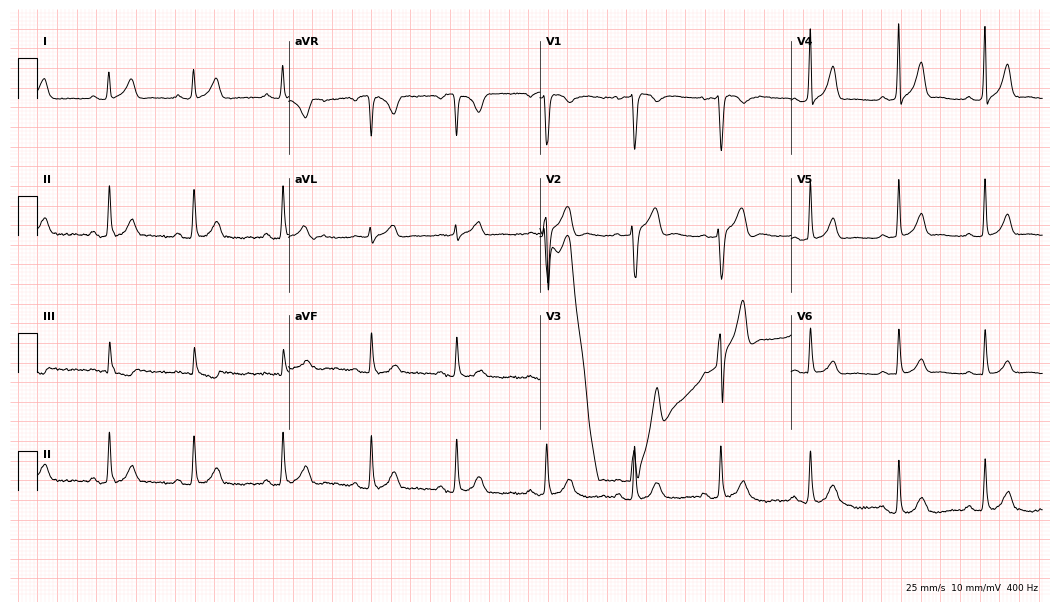
Standard 12-lead ECG recorded from a male, 27 years old. None of these six findings is recorded: first-degree AV block, right bundle branch block (RBBB), left bundle branch block (LBBB), sinus bradycardia, atrial fibrillation (AF), sinus tachycardia.